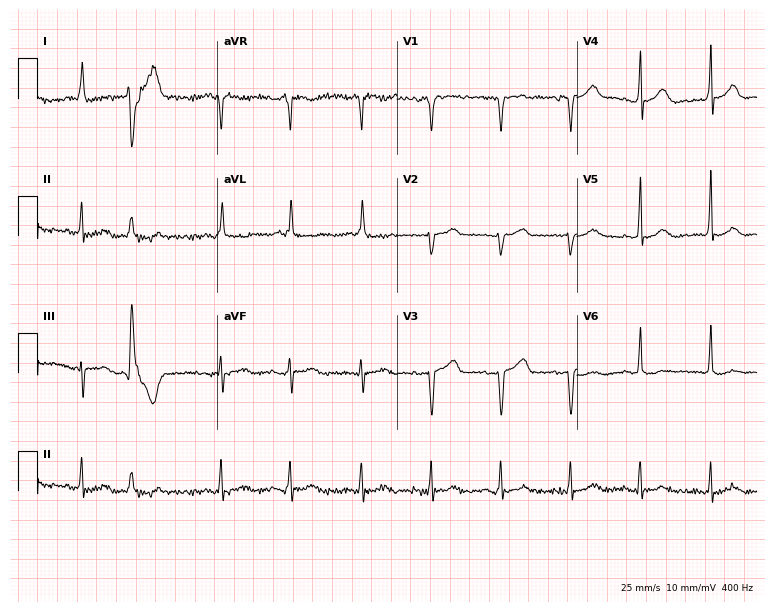
12-lead ECG (7.3-second recording at 400 Hz) from a woman, 79 years old. Screened for six findings — first-degree AV block, right bundle branch block (RBBB), left bundle branch block (LBBB), sinus bradycardia, atrial fibrillation (AF), sinus tachycardia — none is recorded. Other findings, if any, are not listed.